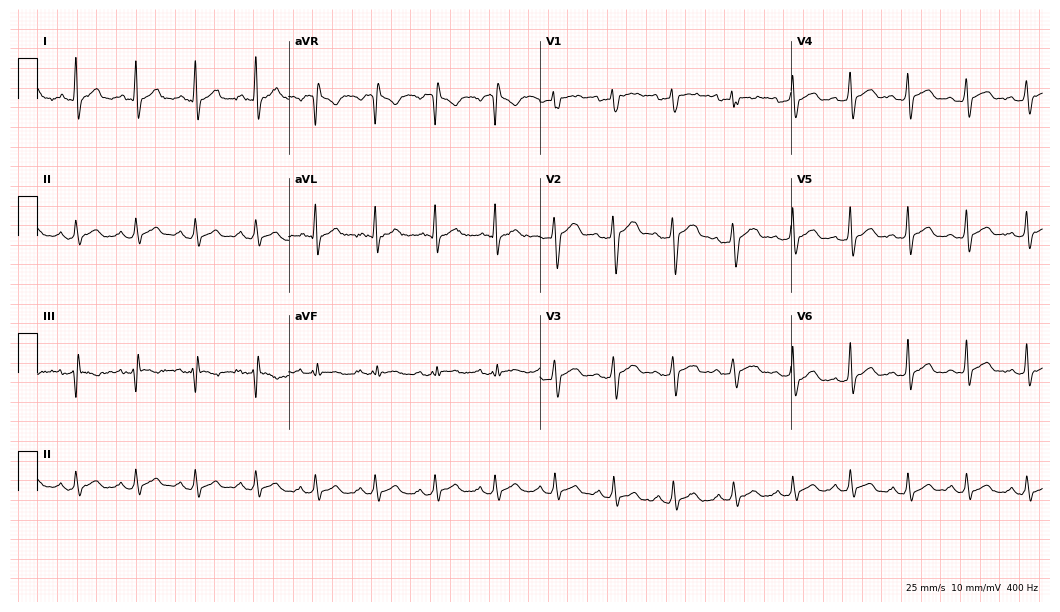
12-lead ECG from a man, 26 years old (10.2-second recording at 400 Hz). No first-degree AV block, right bundle branch block, left bundle branch block, sinus bradycardia, atrial fibrillation or sinus tachycardia recorded for this tracing.